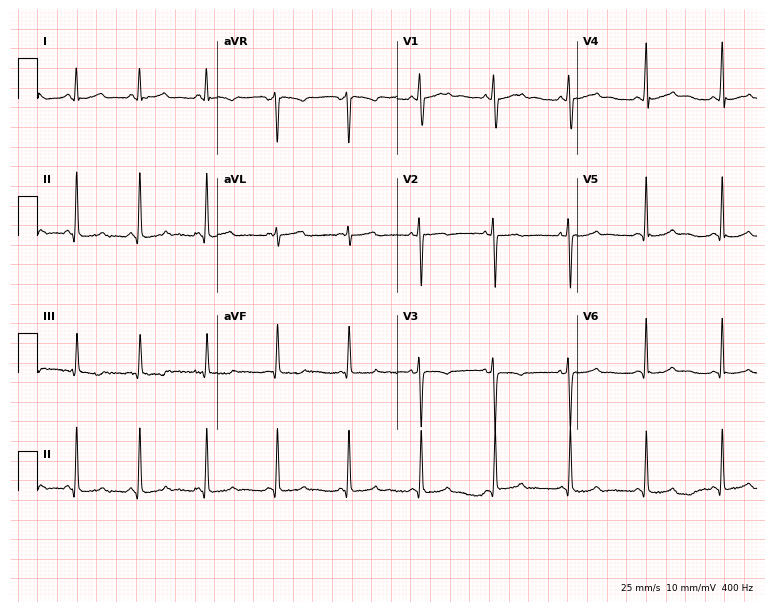
ECG (7.3-second recording at 400 Hz) — a female patient, 25 years old. Labelled as a normal ECG.